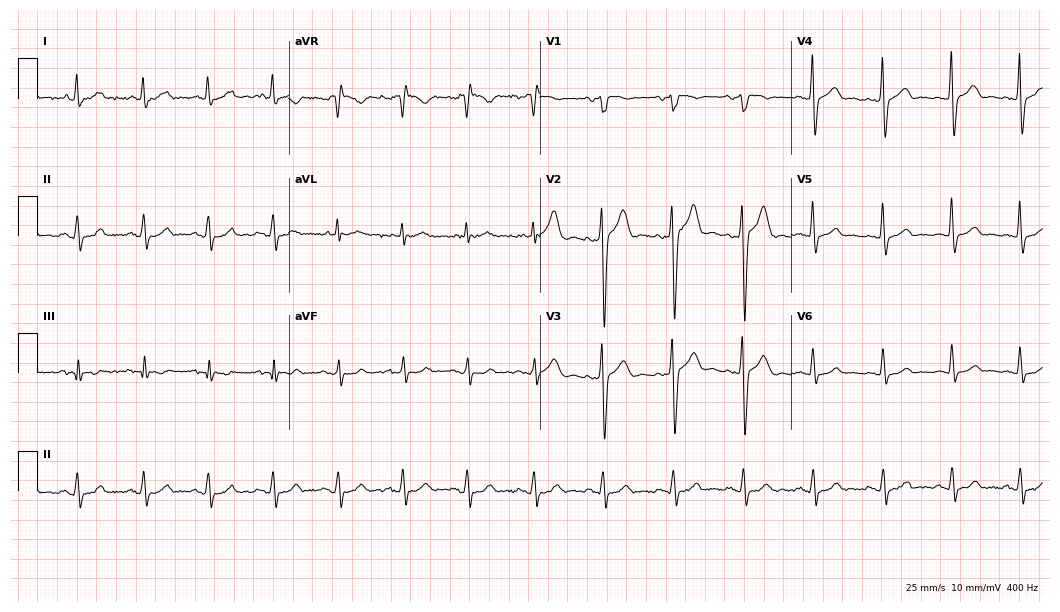
Standard 12-lead ECG recorded from a 50-year-old man. Read as a normal ECG.